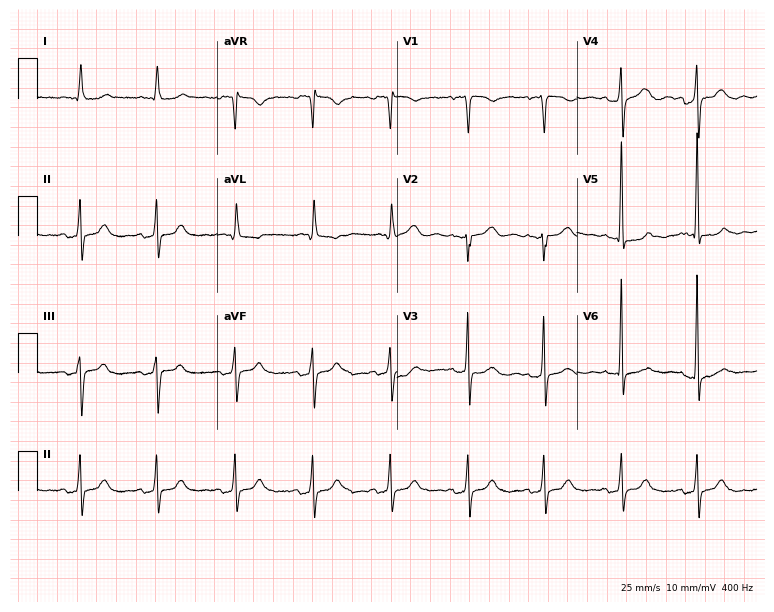
ECG (7.3-second recording at 400 Hz) — a female patient, 74 years old. Screened for six findings — first-degree AV block, right bundle branch block, left bundle branch block, sinus bradycardia, atrial fibrillation, sinus tachycardia — none is recorded. Only these six findings were labelled.